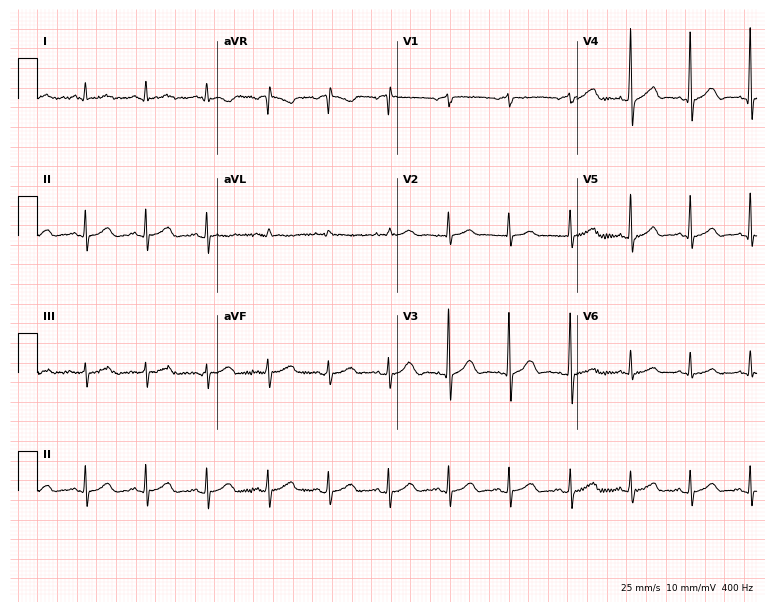
12-lead ECG from an 85-year-old male patient. Recorded interpretation: within normal limits.